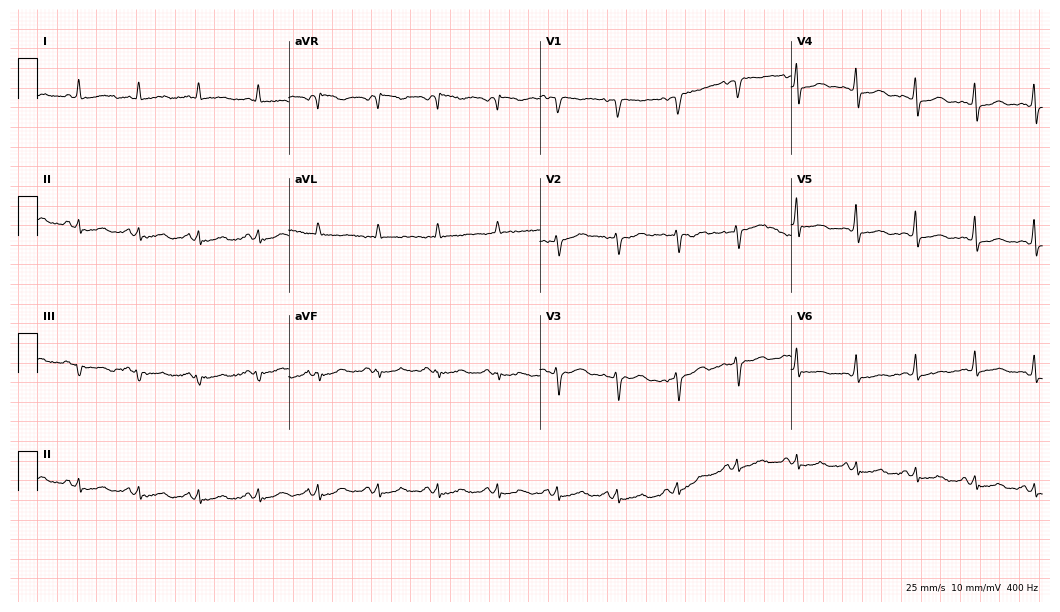
Resting 12-lead electrocardiogram. Patient: a male, 77 years old. None of these six findings is recorded: first-degree AV block, right bundle branch block, left bundle branch block, sinus bradycardia, atrial fibrillation, sinus tachycardia.